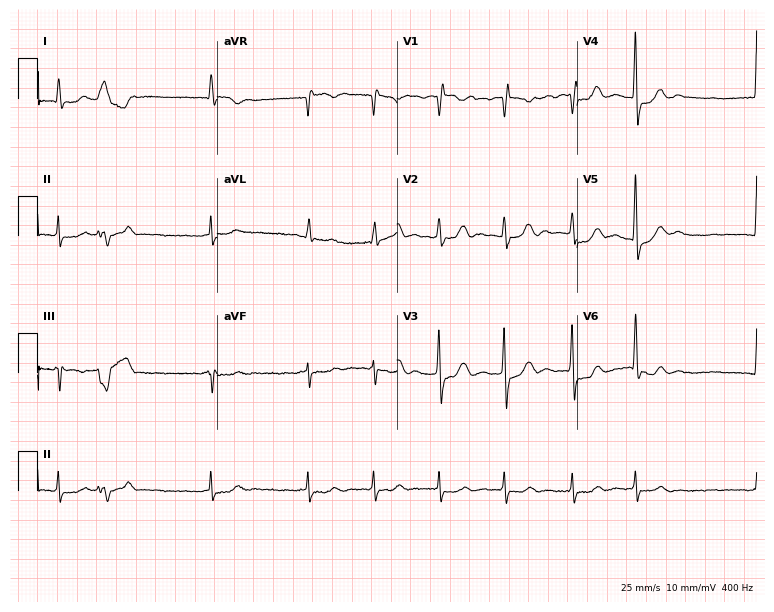
Standard 12-lead ECG recorded from an 84-year-old male patient. The tracing shows atrial fibrillation.